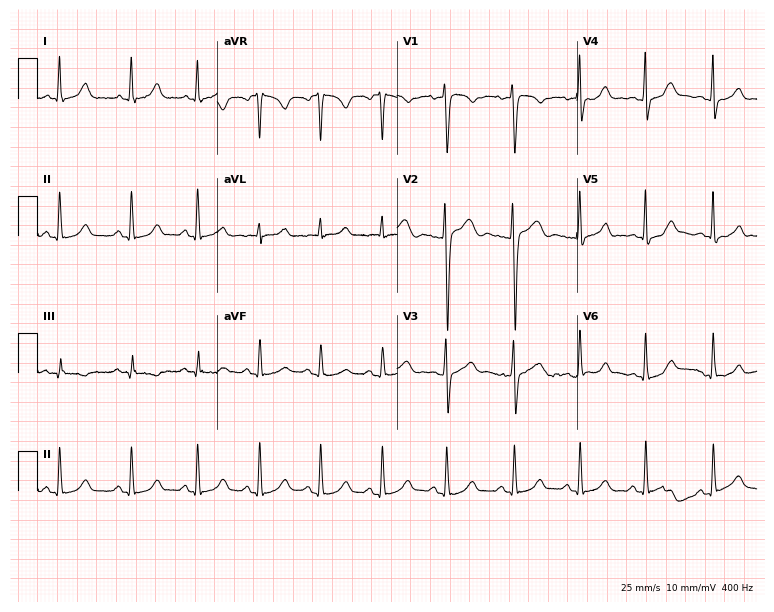
ECG (7.3-second recording at 400 Hz) — a 20-year-old female patient. Labelled as a normal ECG.